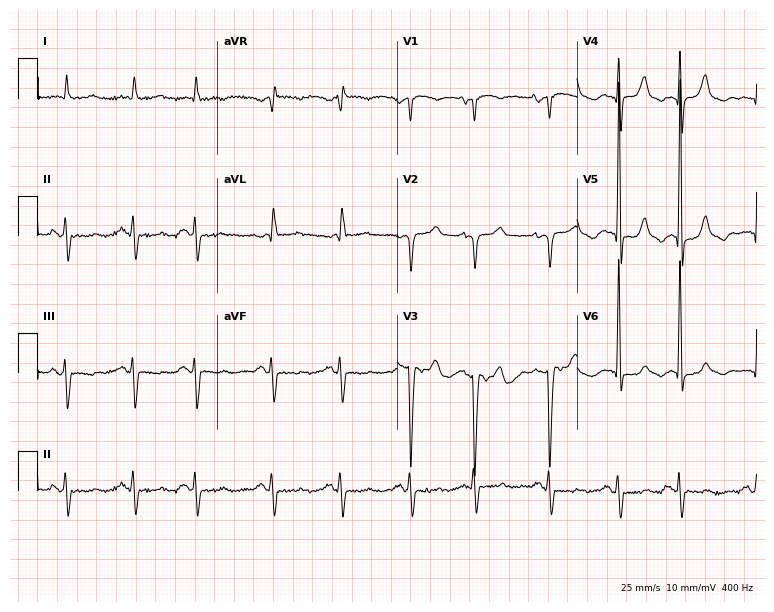
Electrocardiogram, a 78-year-old woman. Of the six screened findings (first-degree AV block, right bundle branch block, left bundle branch block, sinus bradycardia, atrial fibrillation, sinus tachycardia), none is recorded.